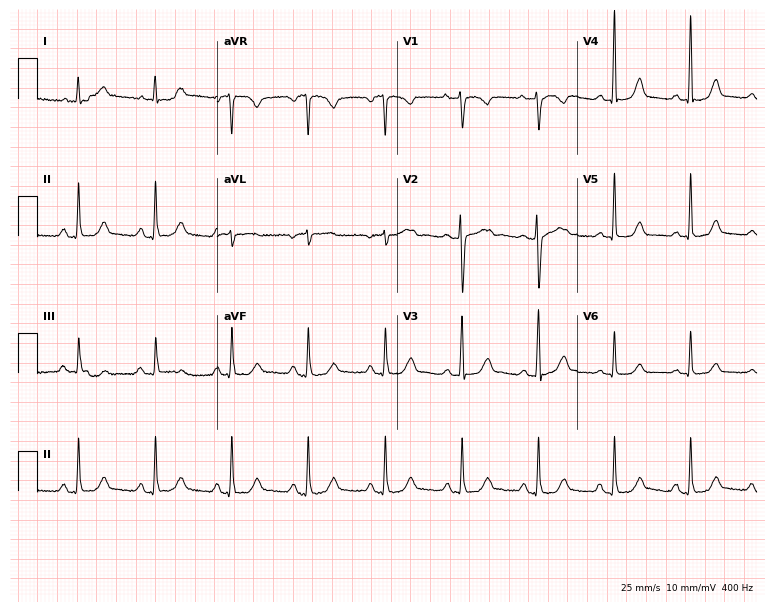
Standard 12-lead ECG recorded from a 76-year-old woman (7.3-second recording at 400 Hz). None of these six findings is recorded: first-degree AV block, right bundle branch block, left bundle branch block, sinus bradycardia, atrial fibrillation, sinus tachycardia. Other findings, if any, are not listed.